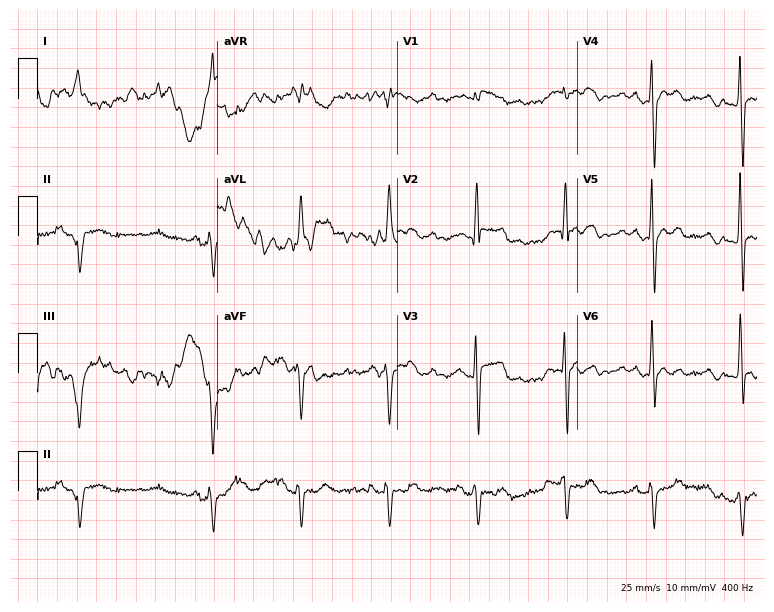
Resting 12-lead electrocardiogram. Patient: a male, 85 years old. None of these six findings is recorded: first-degree AV block, right bundle branch block, left bundle branch block, sinus bradycardia, atrial fibrillation, sinus tachycardia. Findings outside these six are not listed.